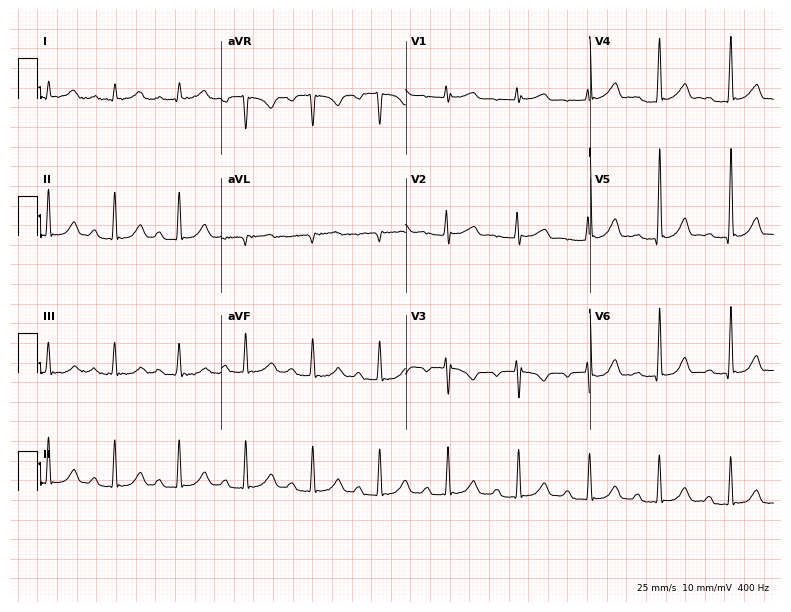
12-lead ECG from a woman, 35 years old (7.5-second recording at 400 Hz). Shows first-degree AV block.